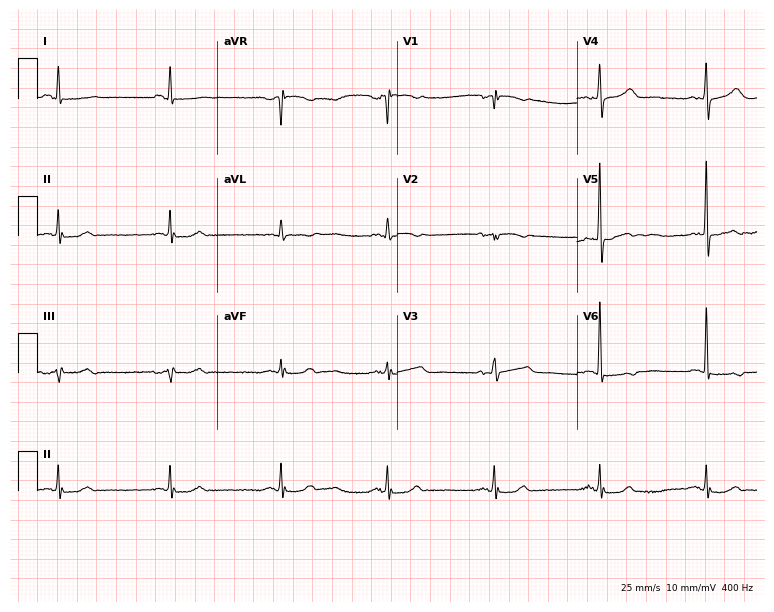
Resting 12-lead electrocardiogram. Patient: a woman, 71 years old. None of these six findings is recorded: first-degree AV block, right bundle branch block, left bundle branch block, sinus bradycardia, atrial fibrillation, sinus tachycardia. Findings outside these six are not listed.